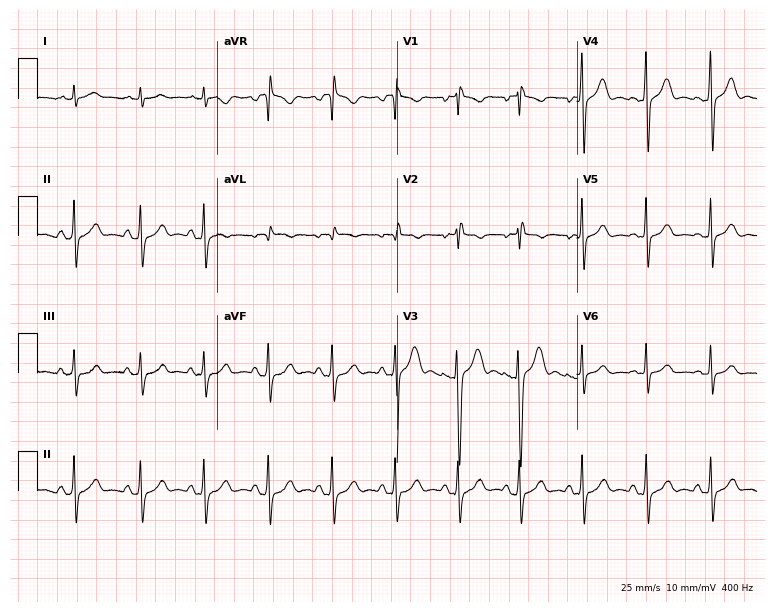
Resting 12-lead electrocardiogram (7.3-second recording at 400 Hz). Patient: a 30-year-old male. None of these six findings is recorded: first-degree AV block, right bundle branch block (RBBB), left bundle branch block (LBBB), sinus bradycardia, atrial fibrillation (AF), sinus tachycardia. Only these six findings were labelled.